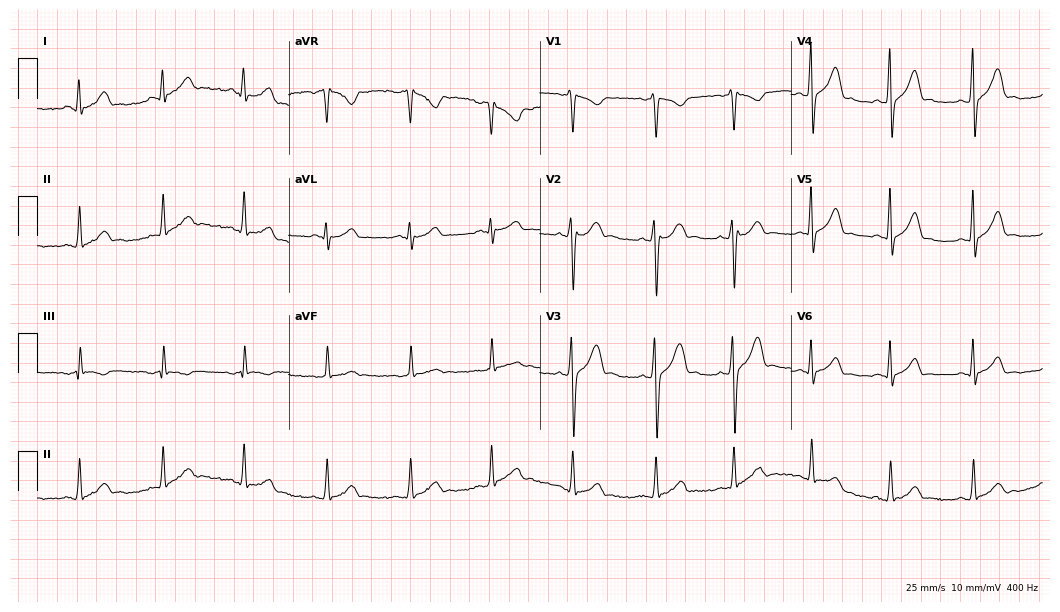
ECG (10.2-second recording at 400 Hz) — a male, 21 years old. Labelled as a normal ECG.